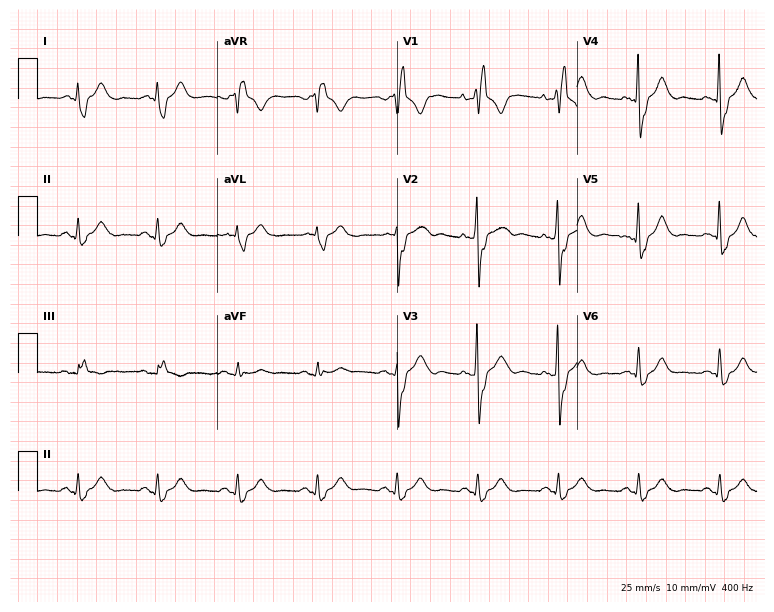
Resting 12-lead electrocardiogram (7.3-second recording at 400 Hz). Patient: a male, 58 years old. The tracing shows right bundle branch block.